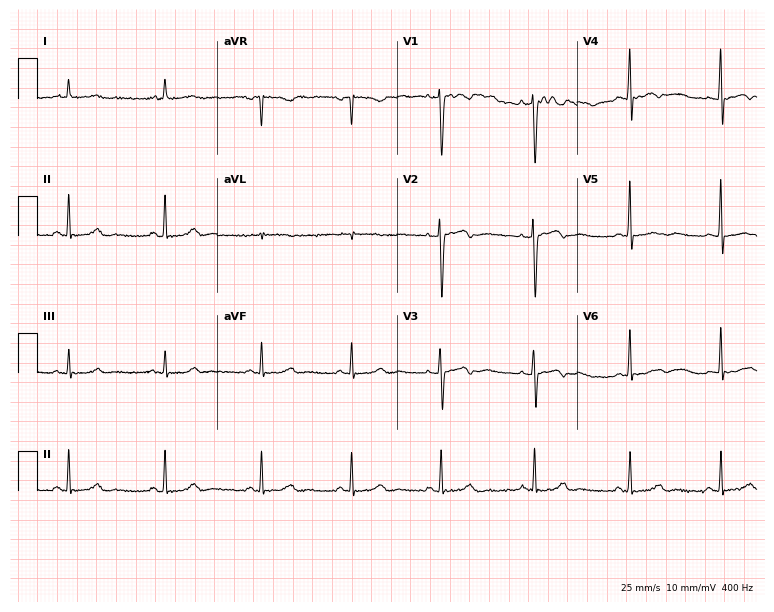
12-lead ECG from a female patient, 48 years old (7.3-second recording at 400 Hz). No first-degree AV block, right bundle branch block, left bundle branch block, sinus bradycardia, atrial fibrillation or sinus tachycardia recorded for this tracing. Other findings, if any, are not listed.